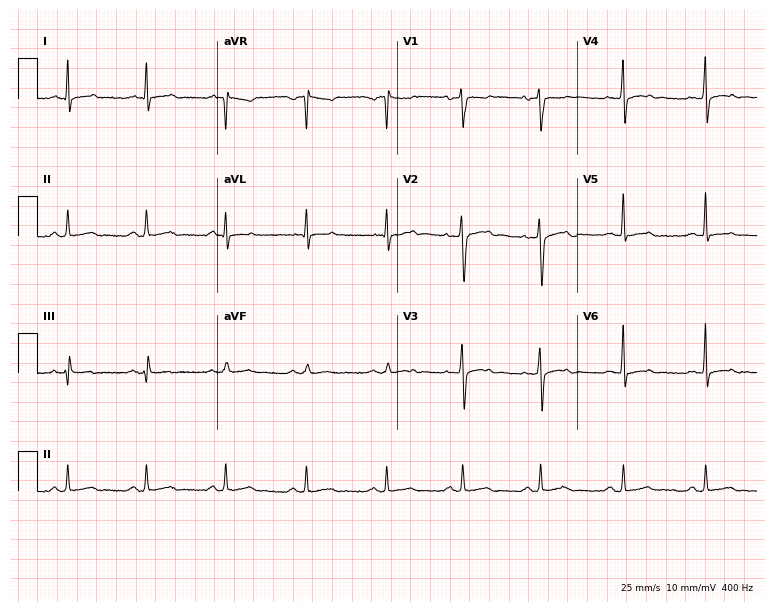
Resting 12-lead electrocardiogram (7.3-second recording at 400 Hz). Patient: a male, 29 years old. None of these six findings is recorded: first-degree AV block, right bundle branch block, left bundle branch block, sinus bradycardia, atrial fibrillation, sinus tachycardia. Only these six findings were labelled.